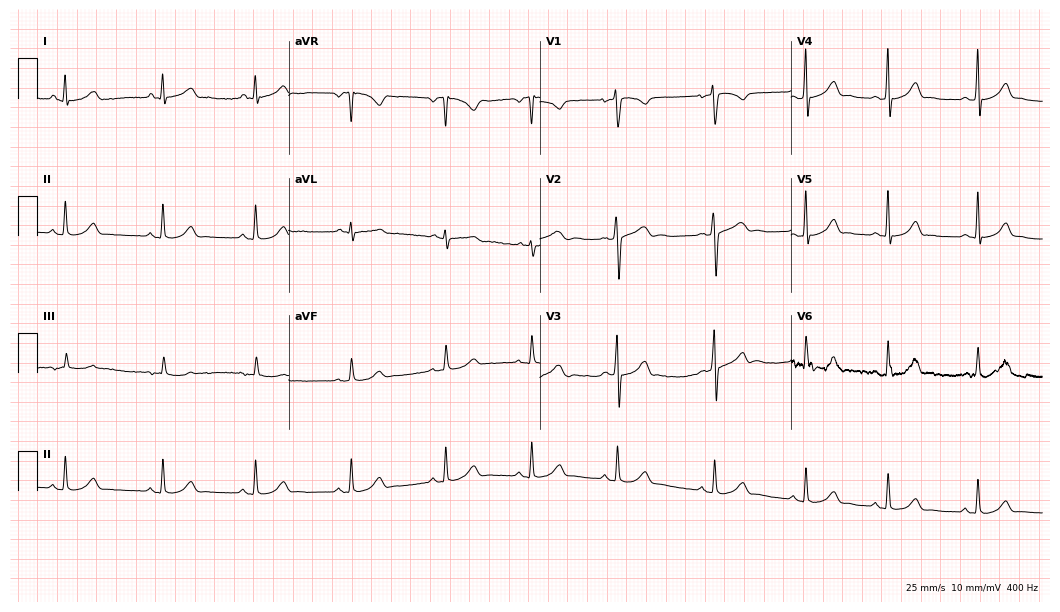
Electrocardiogram (10.2-second recording at 400 Hz), a 23-year-old female patient. Overall reading on record: normal ECG.